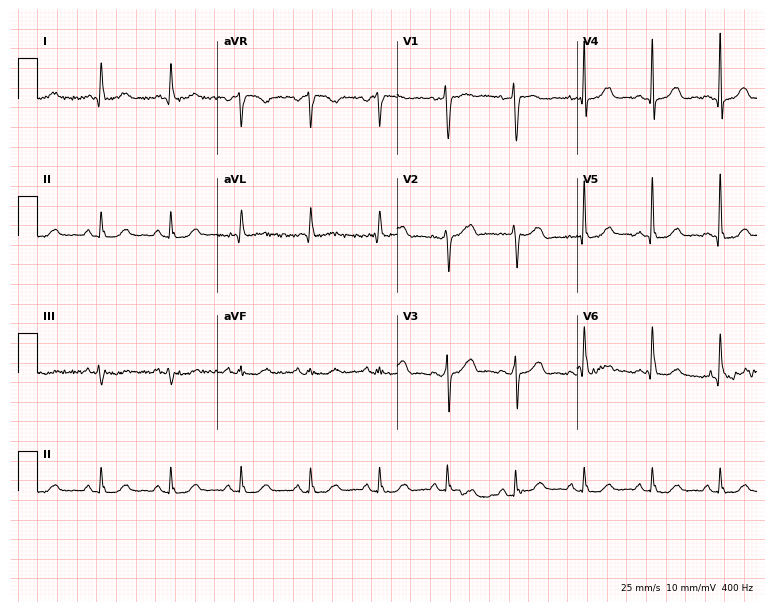
Electrocardiogram (7.3-second recording at 400 Hz), a female, 71 years old. Overall reading on record: normal ECG.